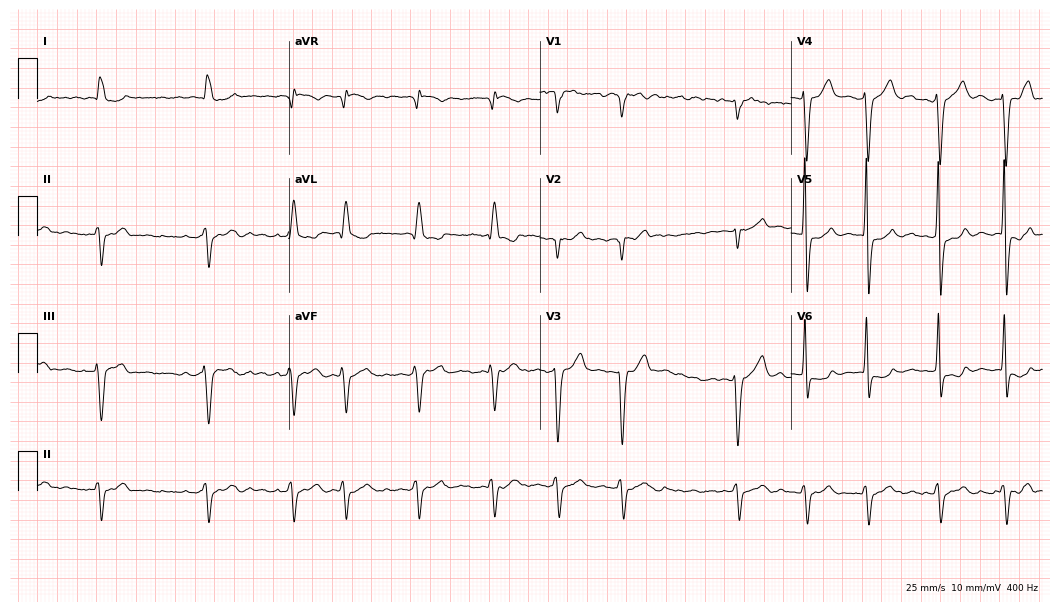
ECG — a male patient, 85 years old. Findings include atrial fibrillation.